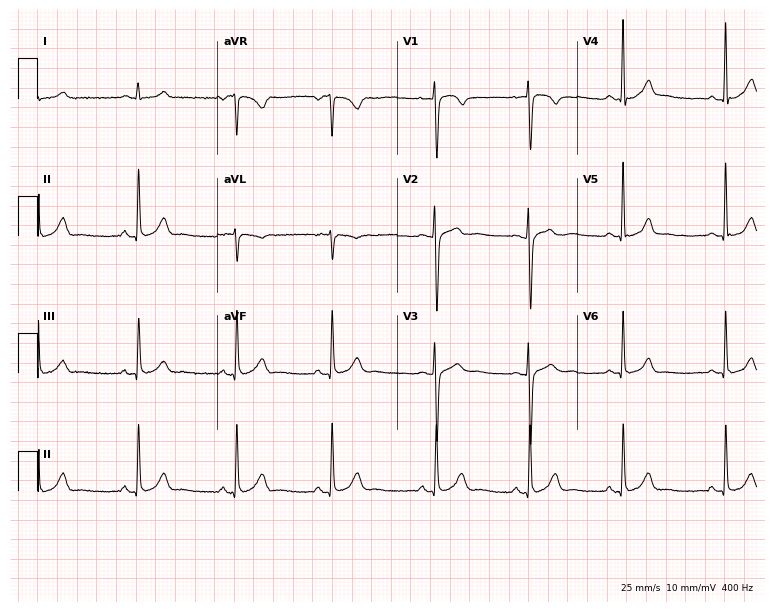
Standard 12-lead ECG recorded from a woman, 32 years old (7.3-second recording at 400 Hz). Read as a normal ECG.